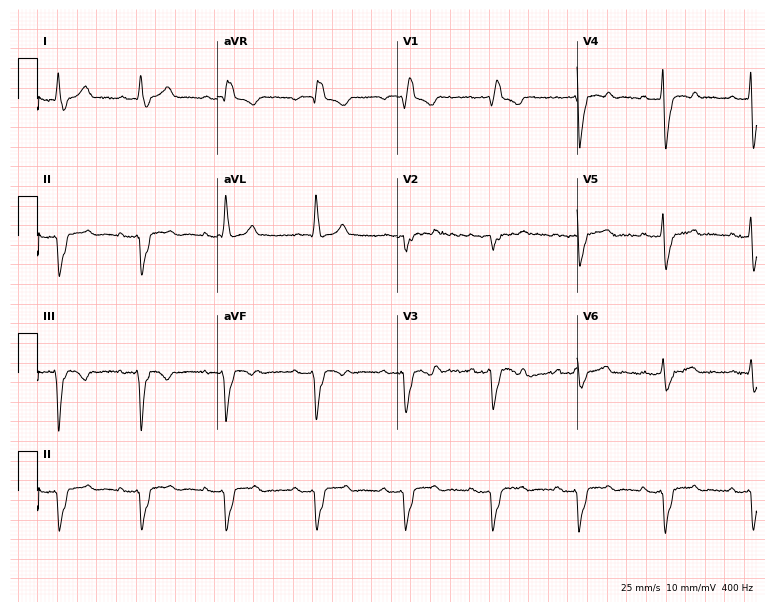
Standard 12-lead ECG recorded from a man, 36 years old. The tracing shows right bundle branch block (RBBB).